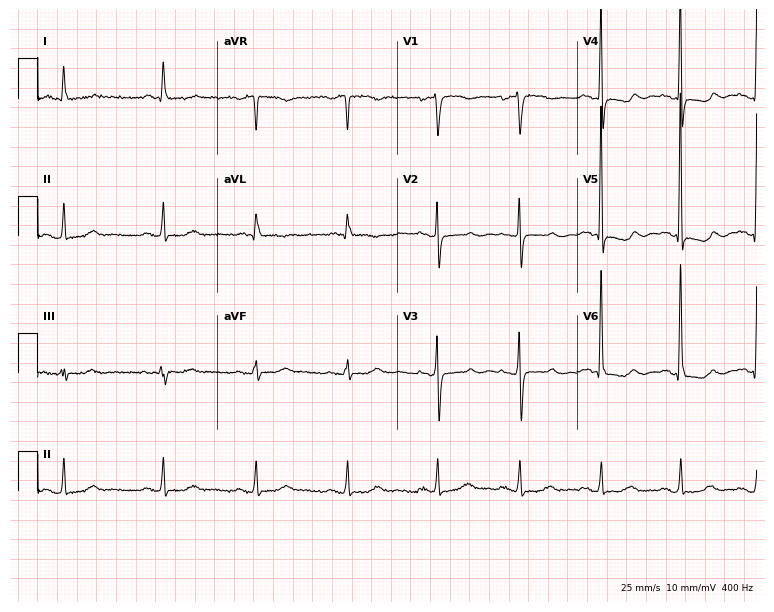
12-lead ECG from a woman, 79 years old. Screened for six findings — first-degree AV block, right bundle branch block, left bundle branch block, sinus bradycardia, atrial fibrillation, sinus tachycardia — none is recorded. Other findings, if any, are not listed.